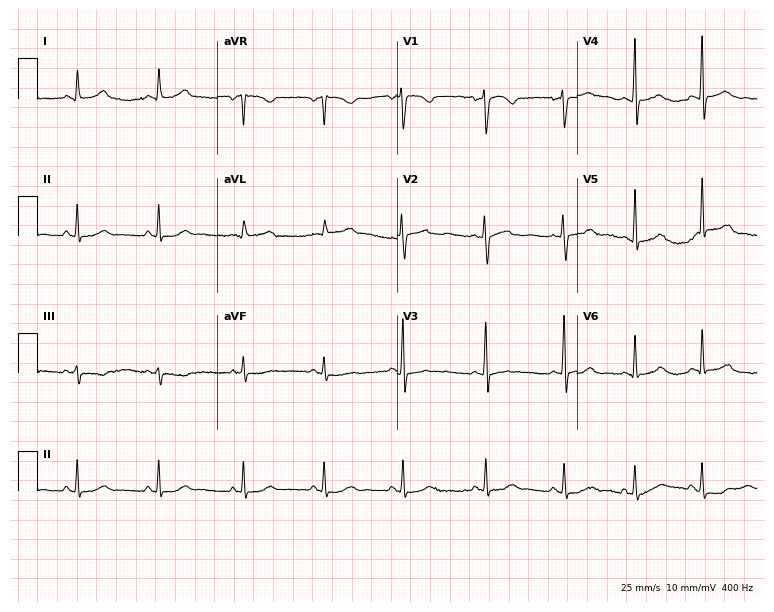
Resting 12-lead electrocardiogram. Patient: a female, 24 years old. None of these six findings is recorded: first-degree AV block, right bundle branch block (RBBB), left bundle branch block (LBBB), sinus bradycardia, atrial fibrillation (AF), sinus tachycardia. Other findings, if any, are not listed.